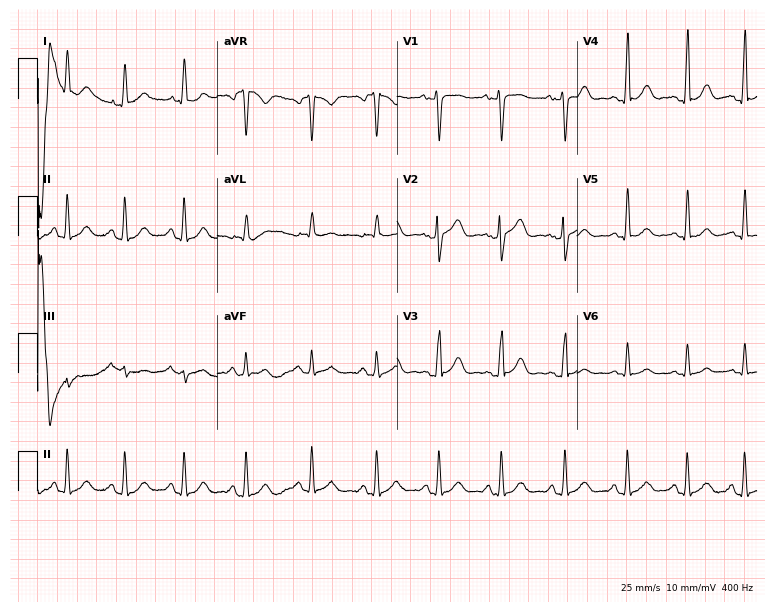
12-lead ECG from a woman, 23 years old (7.3-second recording at 400 Hz). Recorded interpretation: within normal limits.